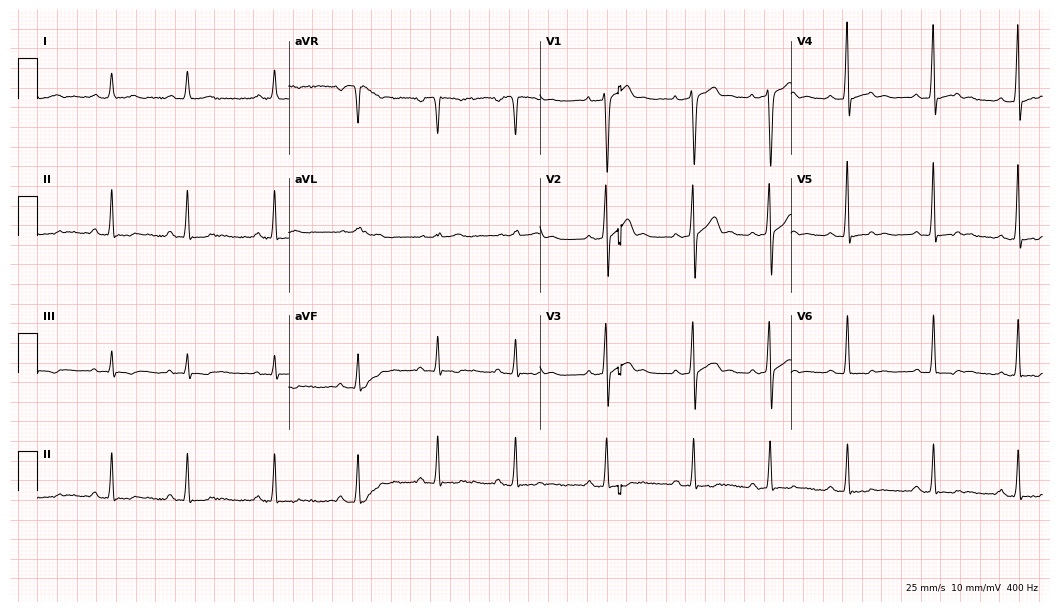
12-lead ECG from a man, 25 years old. Screened for six findings — first-degree AV block, right bundle branch block, left bundle branch block, sinus bradycardia, atrial fibrillation, sinus tachycardia — none is recorded. Only these six findings were labelled.